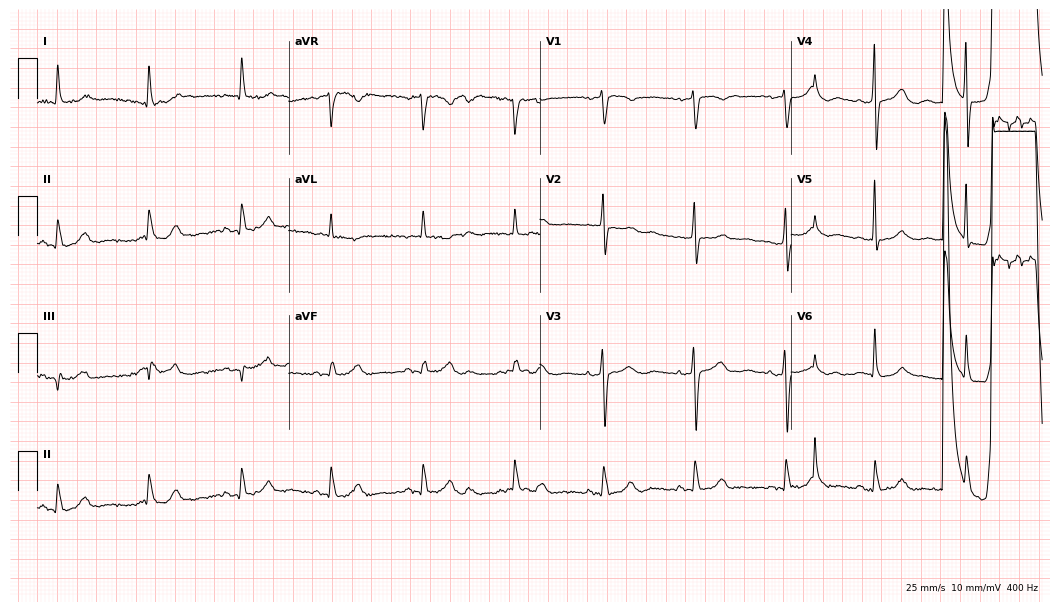
Resting 12-lead electrocardiogram (10.2-second recording at 400 Hz). Patient: an 80-year-old female. Read as a normal ECG.